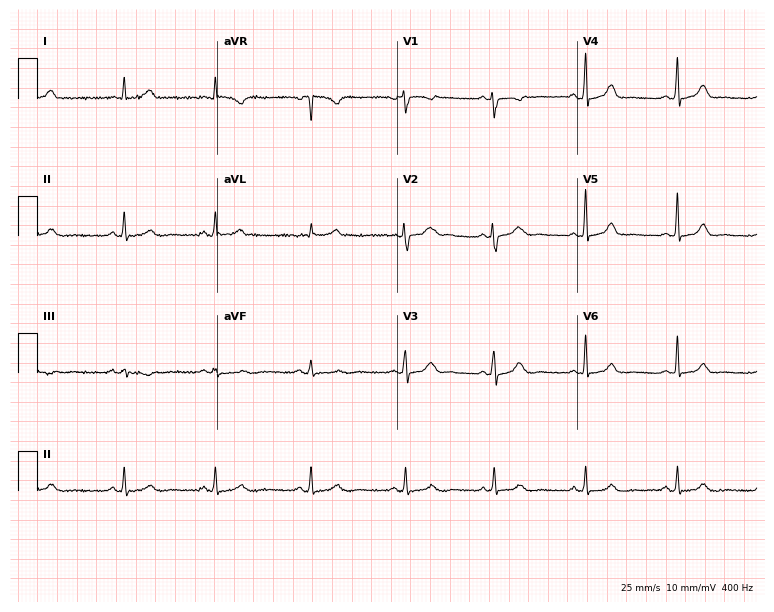
ECG — a female, 42 years old. Screened for six findings — first-degree AV block, right bundle branch block (RBBB), left bundle branch block (LBBB), sinus bradycardia, atrial fibrillation (AF), sinus tachycardia — none is recorded. Other findings, if any, are not listed.